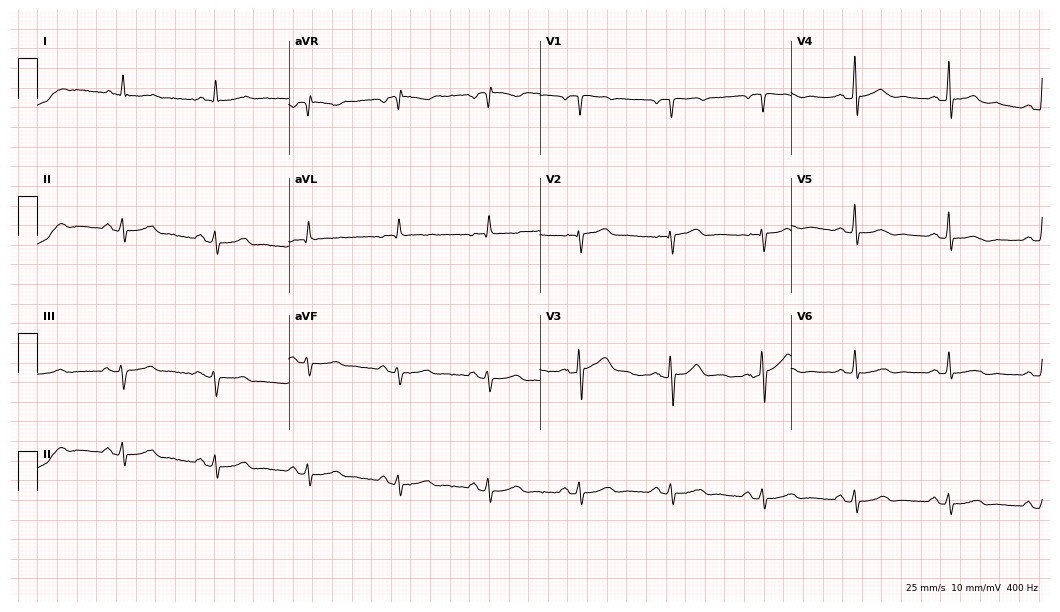
12-lead ECG from a 71-year-old man. Labelled as a normal ECG.